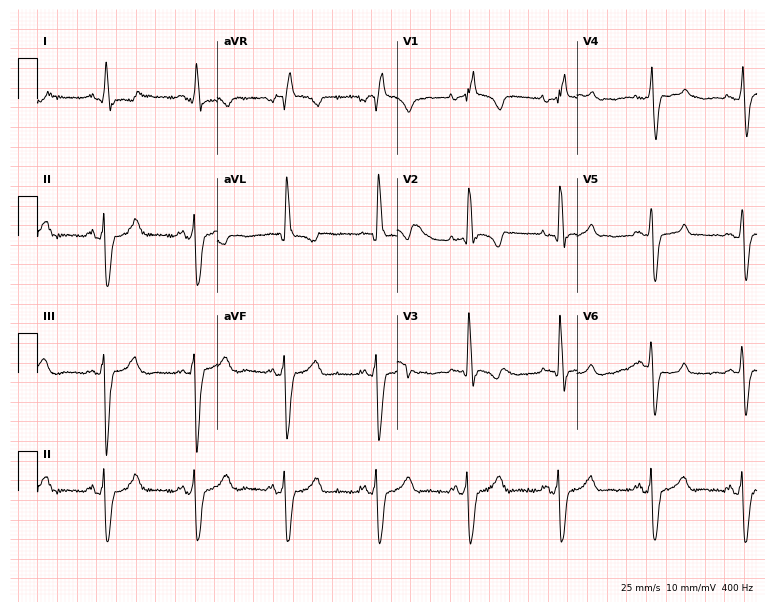
ECG (7.3-second recording at 400 Hz) — a female, 35 years old. Findings include right bundle branch block.